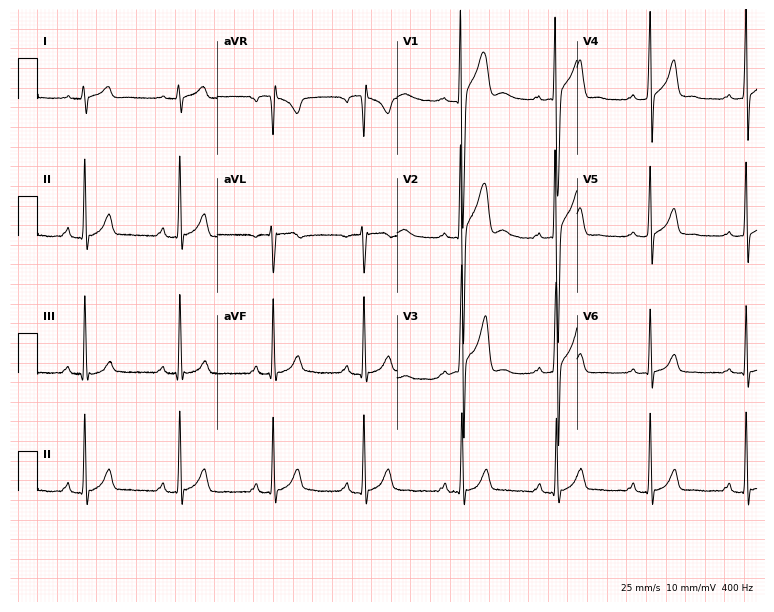
12-lead ECG (7.3-second recording at 400 Hz) from an 18-year-old man. Labelled as a normal ECG.